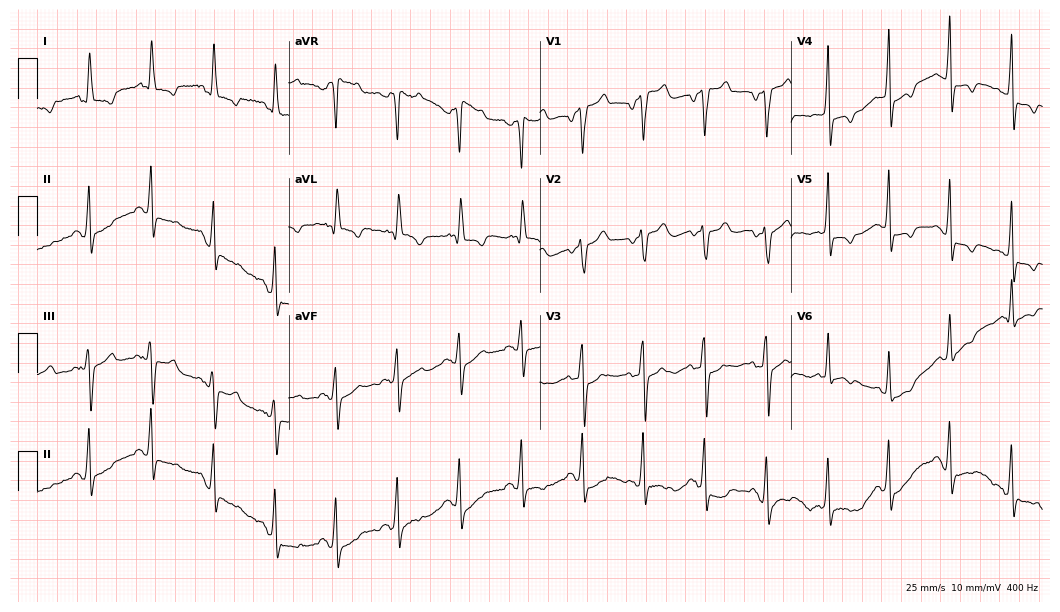
ECG — a female patient, 84 years old. Screened for six findings — first-degree AV block, right bundle branch block, left bundle branch block, sinus bradycardia, atrial fibrillation, sinus tachycardia — none is recorded. Only these six findings were labelled.